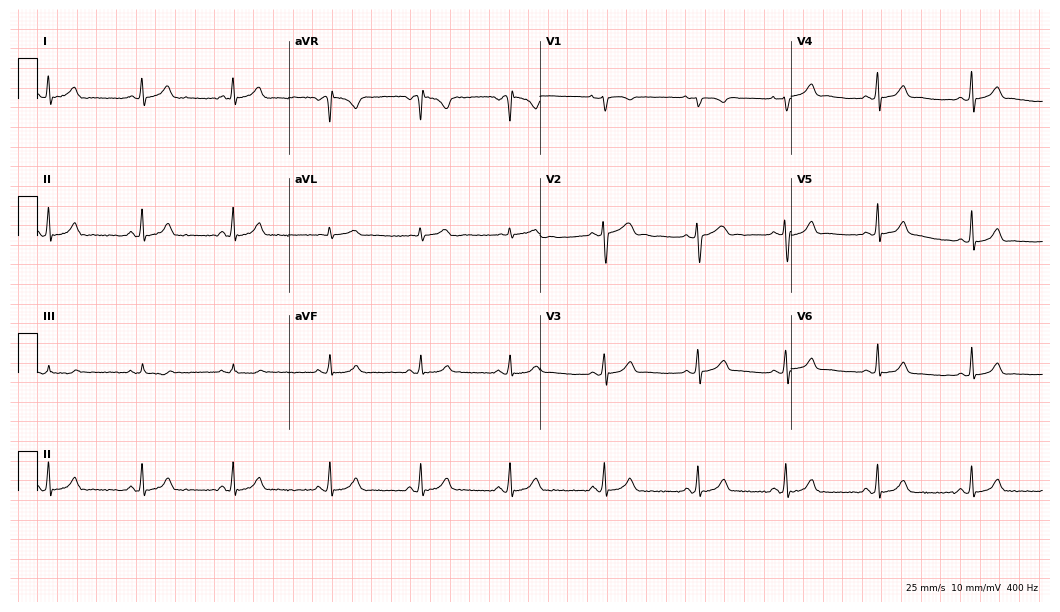
Standard 12-lead ECG recorded from a female patient, 25 years old. Read as a normal ECG.